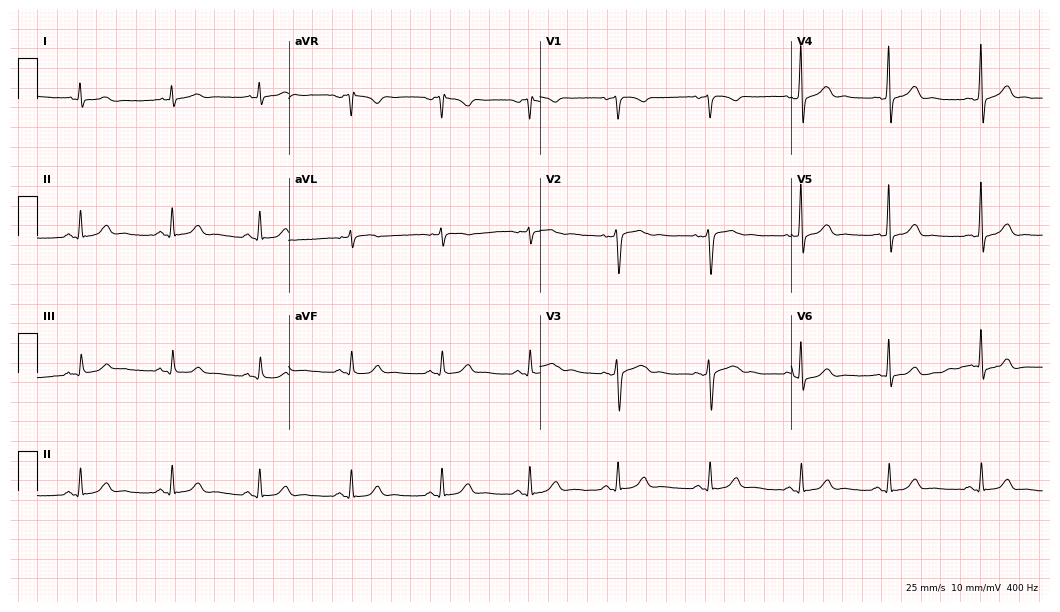
12-lead ECG (10.2-second recording at 400 Hz) from a woman, 55 years old. Labelled as a normal ECG.